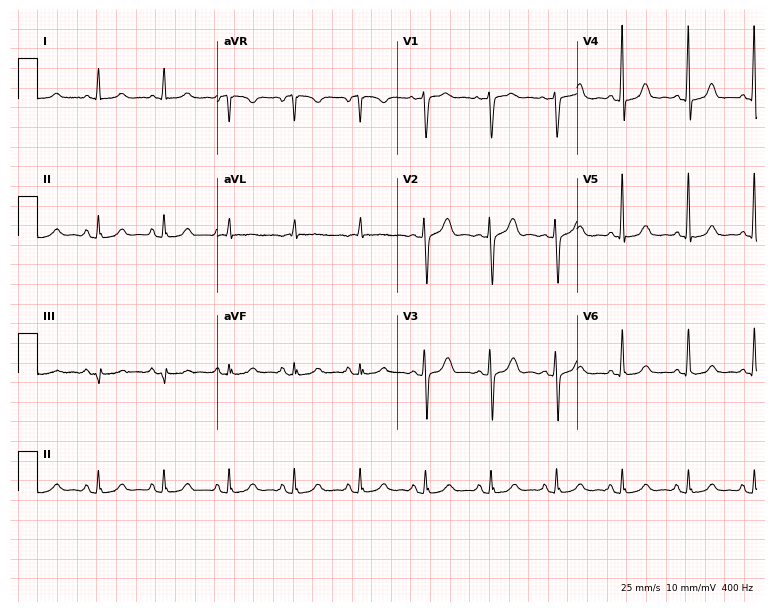
12-lead ECG from a 79-year-old female. No first-degree AV block, right bundle branch block (RBBB), left bundle branch block (LBBB), sinus bradycardia, atrial fibrillation (AF) or sinus tachycardia recorded for this tracing.